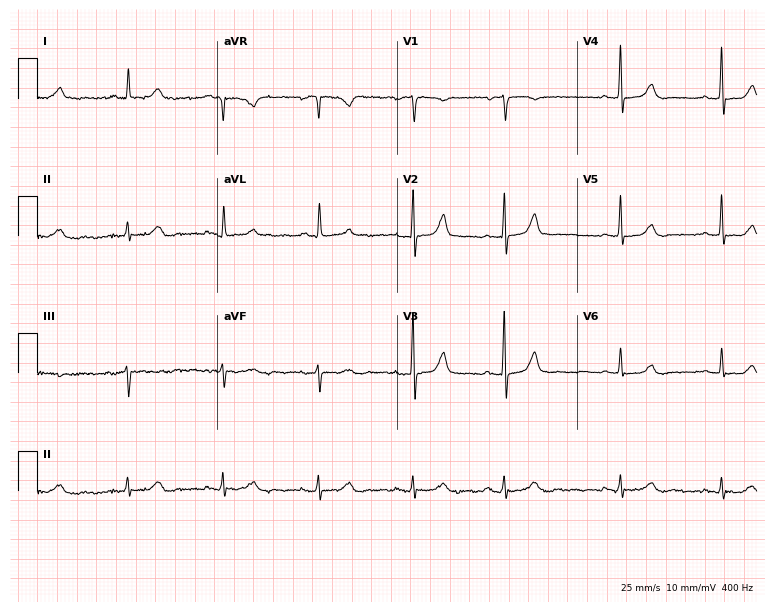
ECG (7.3-second recording at 400 Hz) — a 79-year-old female patient. Labelled as a normal ECG.